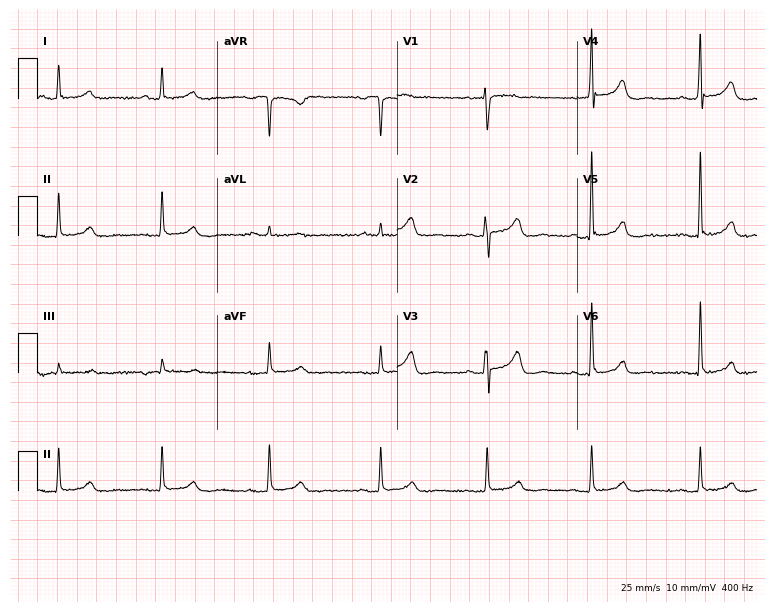
Electrocardiogram, a woman, 76 years old. Overall reading on record: normal ECG.